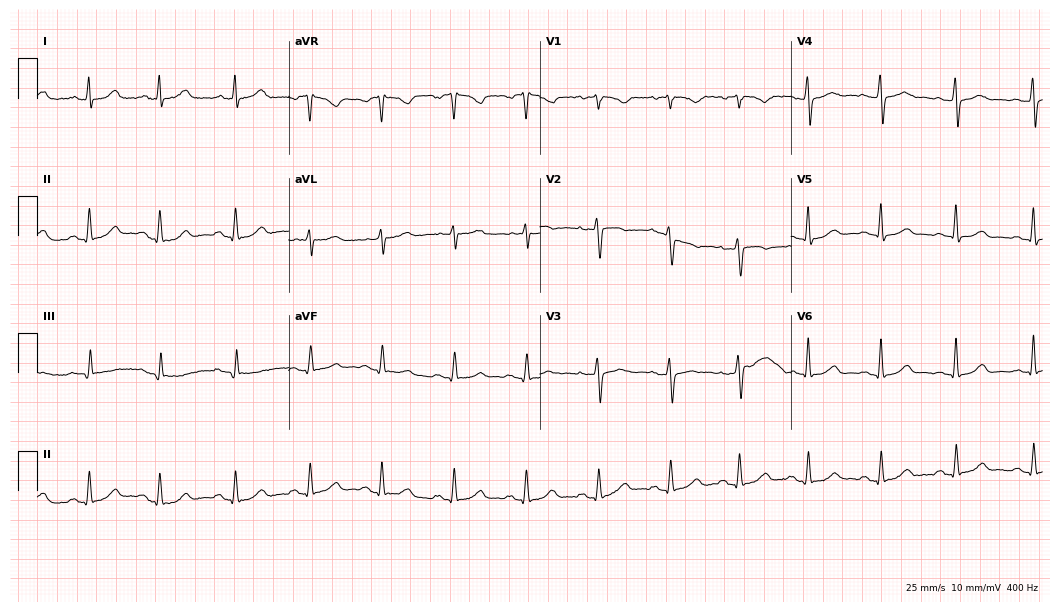
Electrocardiogram, a 40-year-old female. Overall reading on record: normal ECG.